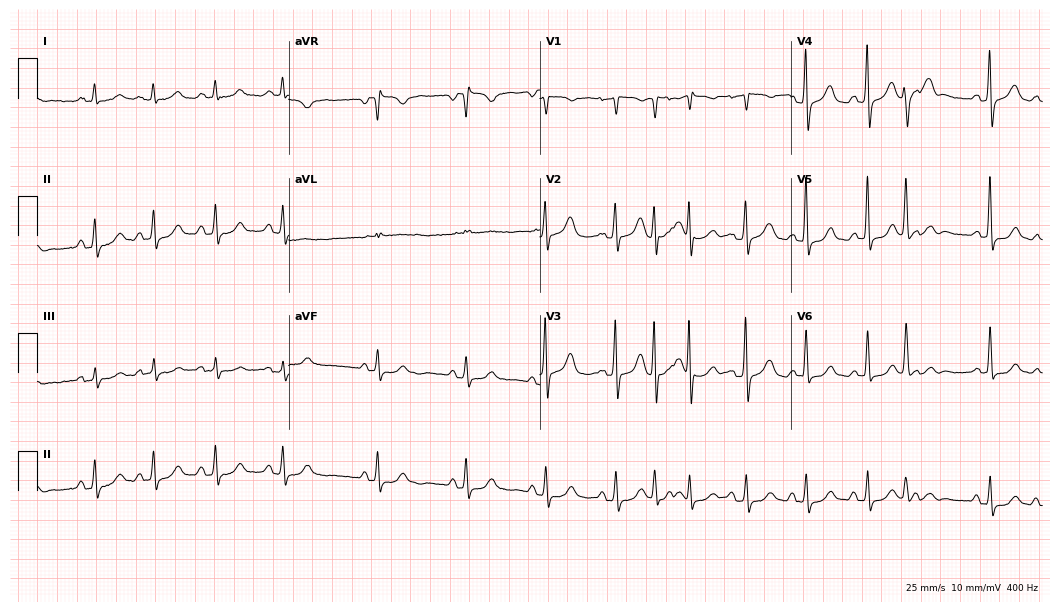
12-lead ECG (10.2-second recording at 400 Hz) from a 74-year-old woman. Labelled as a normal ECG.